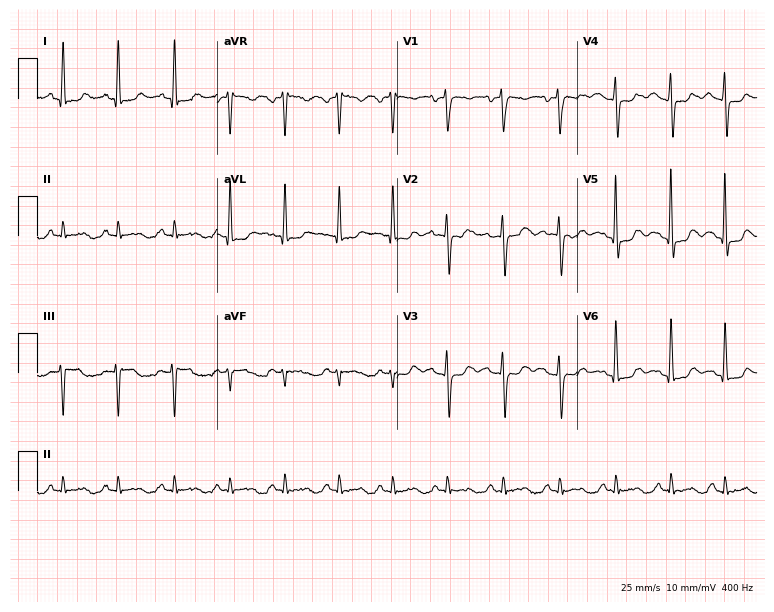
ECG — a female patient, 77 years old. Findings include sinus tachycardia (a sinus rate of 100 beats per minute or more).